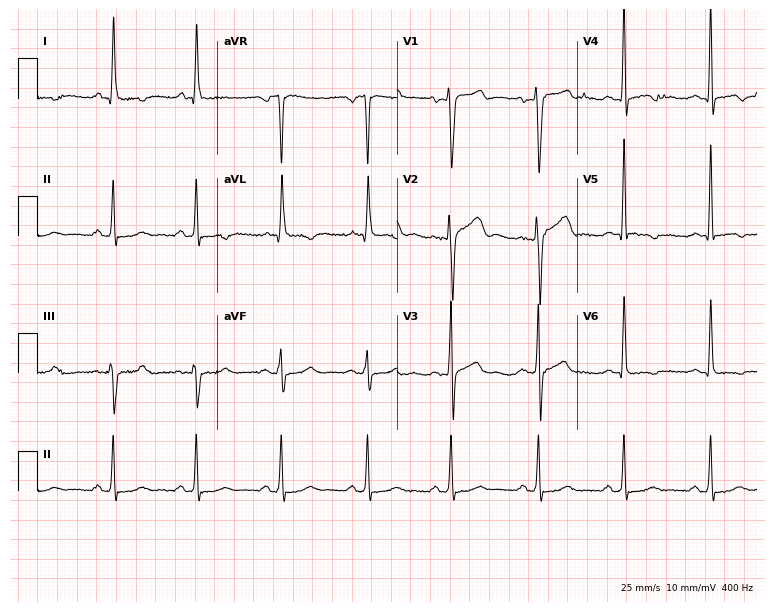
Resting 12-lead electrocardiogram (7.3-second recording at 400 Hz). Patient: a male, 47 years old. None of these six findings is recorded: first-degree AV block, right bundle branch block, left bundle branch block, sinus bradycardia, atrial fibrillation, sinus tachycardia. Findings outside these six are not listed.